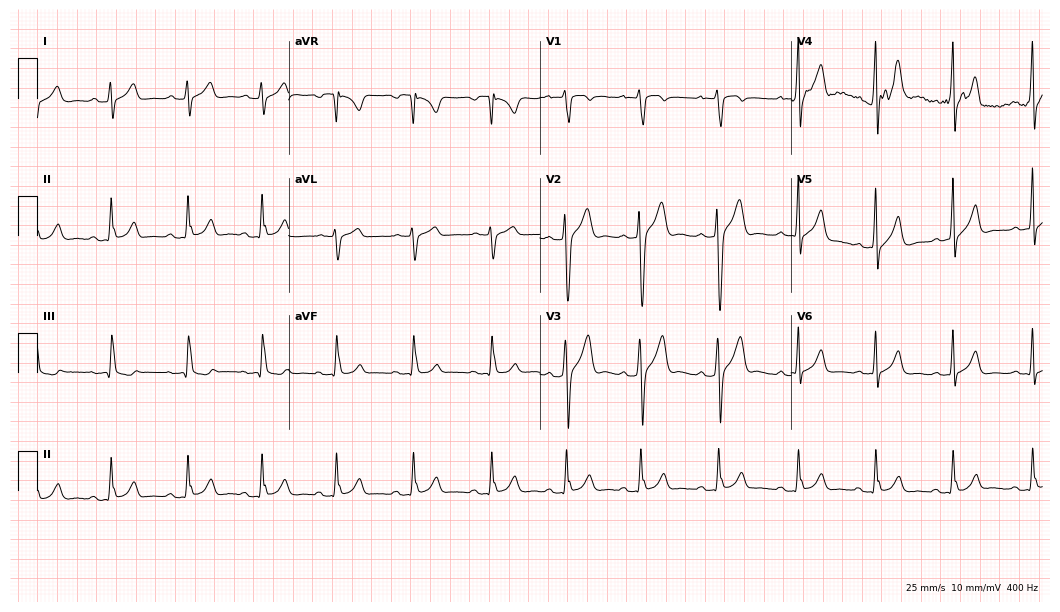
Electrocardiogram, a 21-year-old male. Overall reading on record: normal ECG.